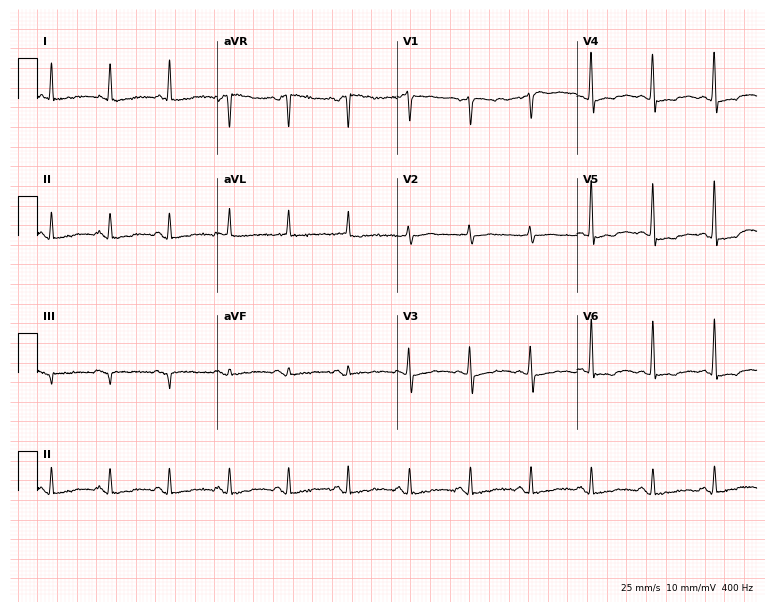
Standard 12-lead ECG recorded from a 55-year-old male patient. None of these six findings is recorded: first-degree AV block, right bundle branch block, left bundle branch block, sinus bradycardia, atrial fibrillation, sinus tachycardia.